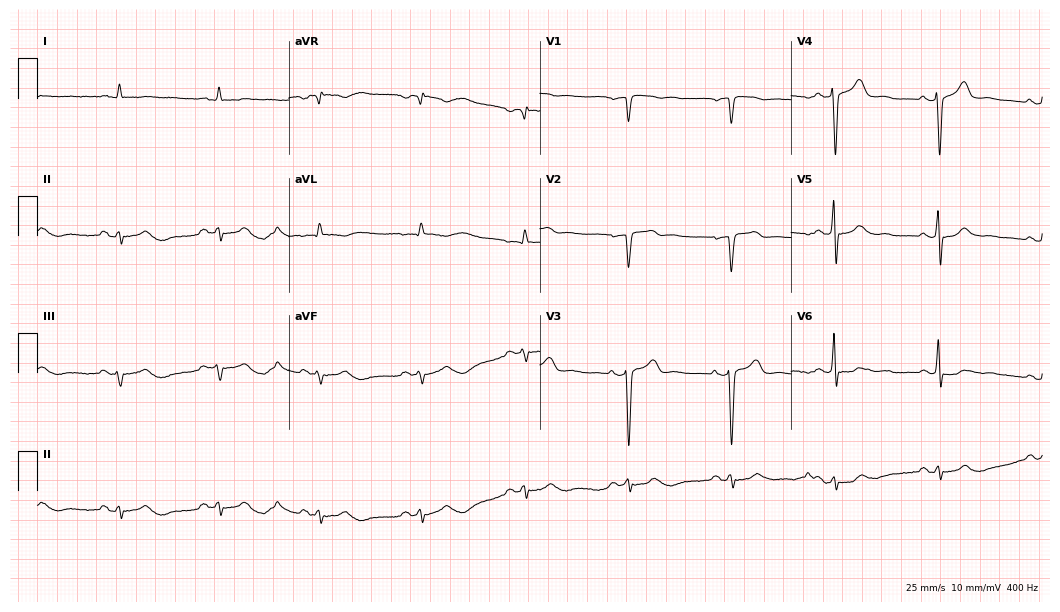
12-lead ECG from a 77-year-old male. Screened for six findings — first-degree AV block, right bundle branch block, left bundle branch block, sinus bradycardia, atrial fibrillation, sinus tachycardia — none is recorded. Findings outside these six are not listed.